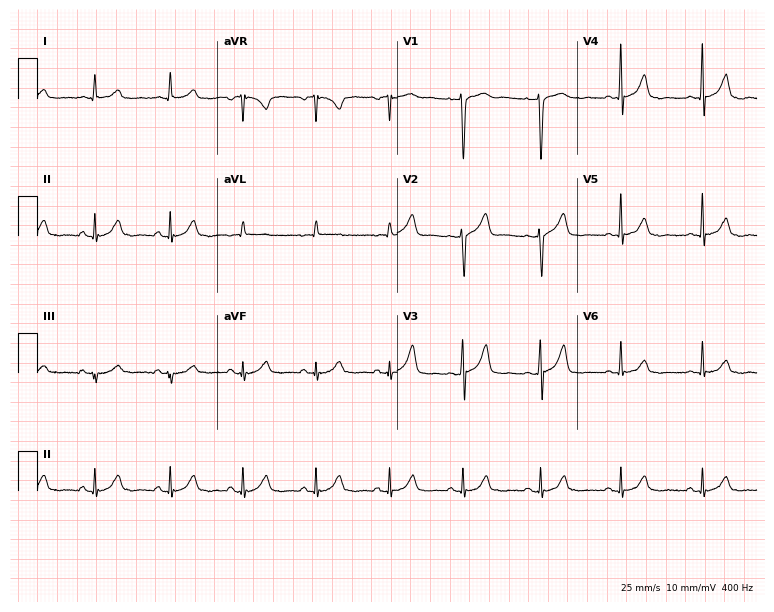
Resting 12-lead electrocardiogram (7.3-second recording at 400 Hz). Patient: a female, 44 years old. None of these six findings is recorded: first-degree AV block, right bundle branch block (RBBB), left bundle branch block (LBBB), sinus bradycardia, atrial fibrillation (AF), sinus tachycardia. Only these six findings were labelled.